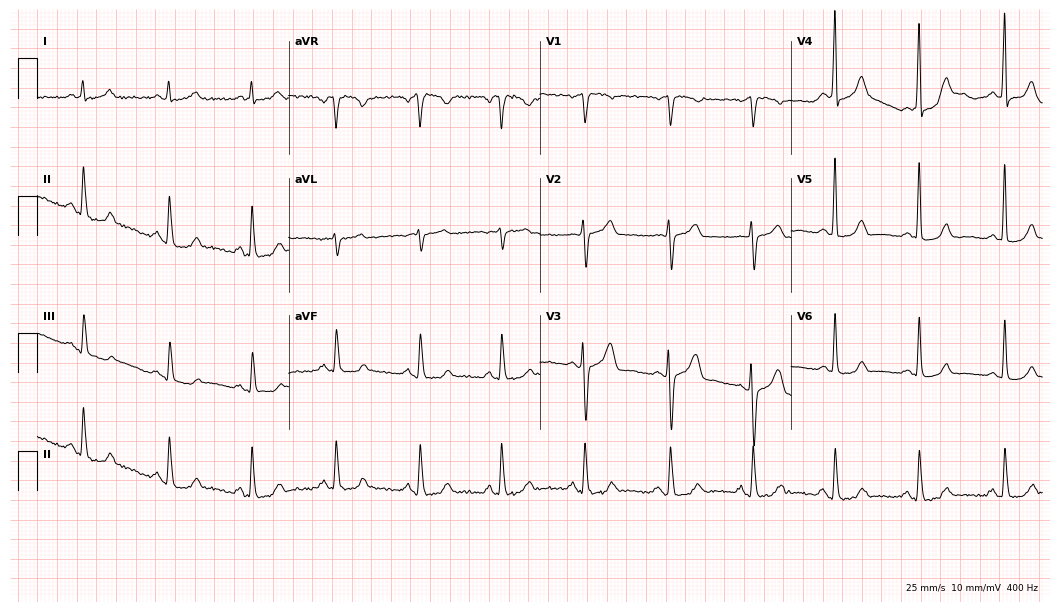
Resting 12-lead electrocardiogram. Patient: a female, 46 years old. None of these six findings is recorded: first-degree AV block, right bundle branch block, left bundle branch block, sinus bradycardia, atrial fibrillation, sinus tachycardia.